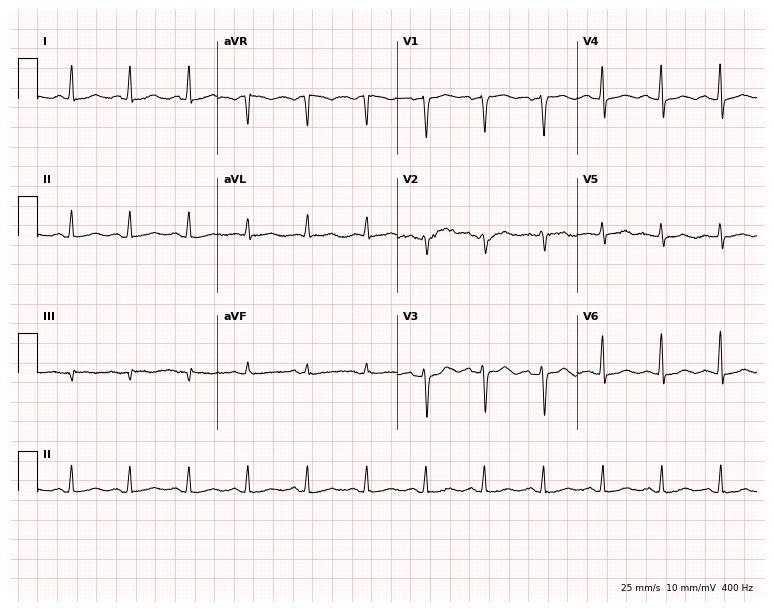
Electrocardiogram, a woman, 45 years old. Overall reading on record: normal ECG.